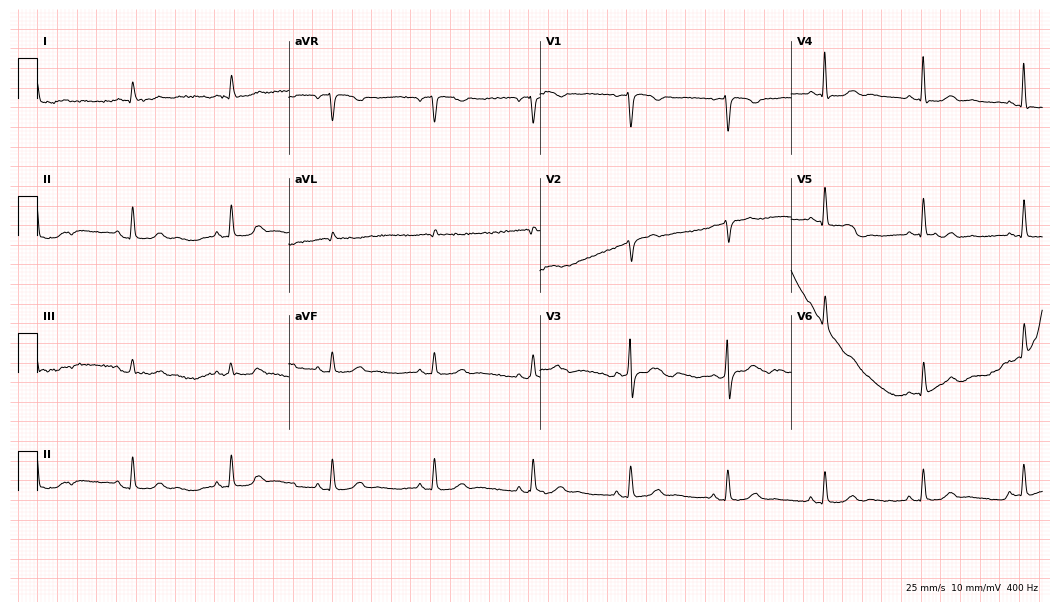
12-lead ECG (10.2-second recording at 400 Hz) from a female patient, 52 years old. Labelled as a normal ECG.